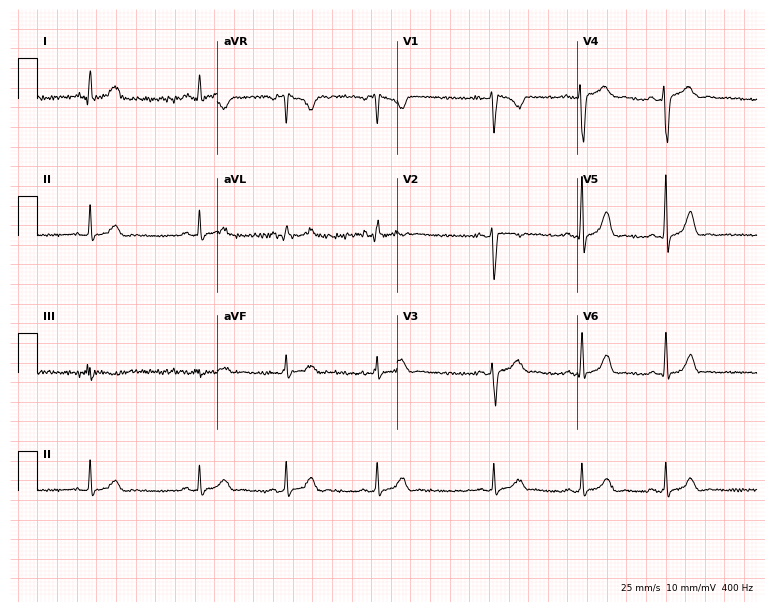
12-lead ECG from a female, 27 years old. Labelled as a normal ECG.